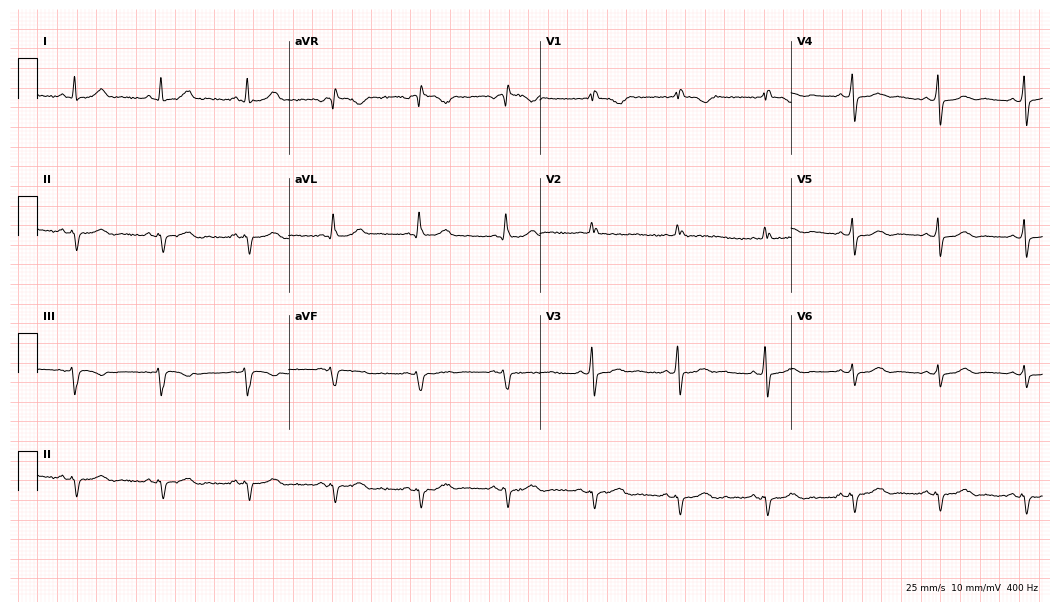
12-lead ECG from a 61-year-old woman (10.2-second recording at 400 Hz). No first-degree AV block, right bundle branch block (RBBB), left bundle branch block (LBBB), sinus bradycardia, atrial fibrillation (AF) or sinus tachycardia recorded for this tracing. Findings outside these six are not listed.